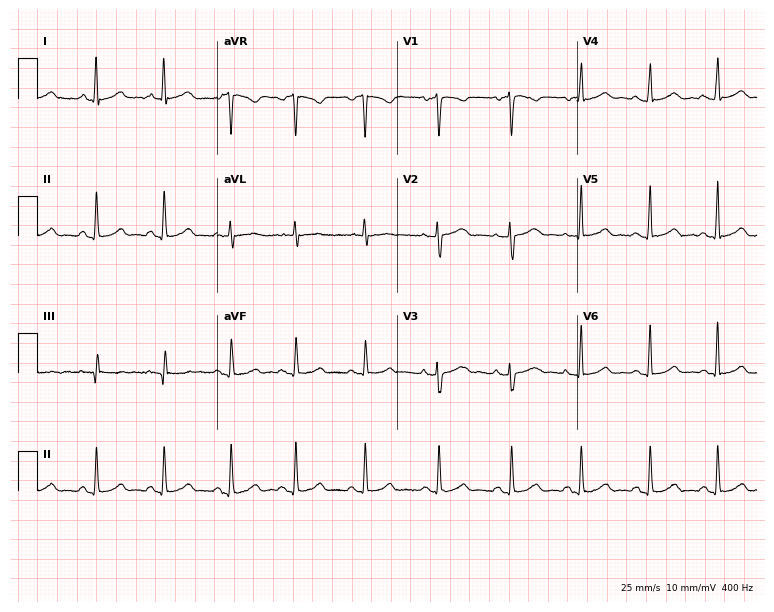
12-lead ECG (7.3-second recording at 400 Hz) from a woman, 36 years old. Labelled as a normal ECG.